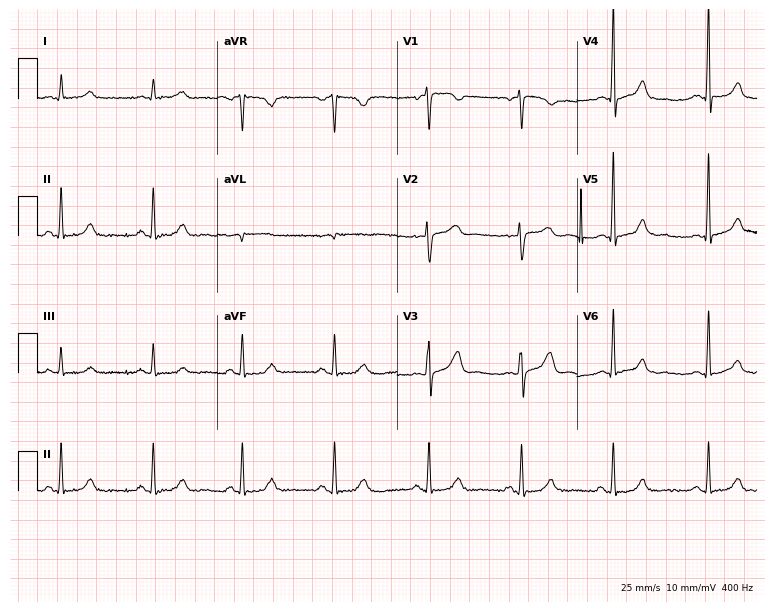
Resting 12-lead electrocardiogram (7.3-second recording at 400 Hz). Patient: a 43-year-old woman. Read as a normal ECG.